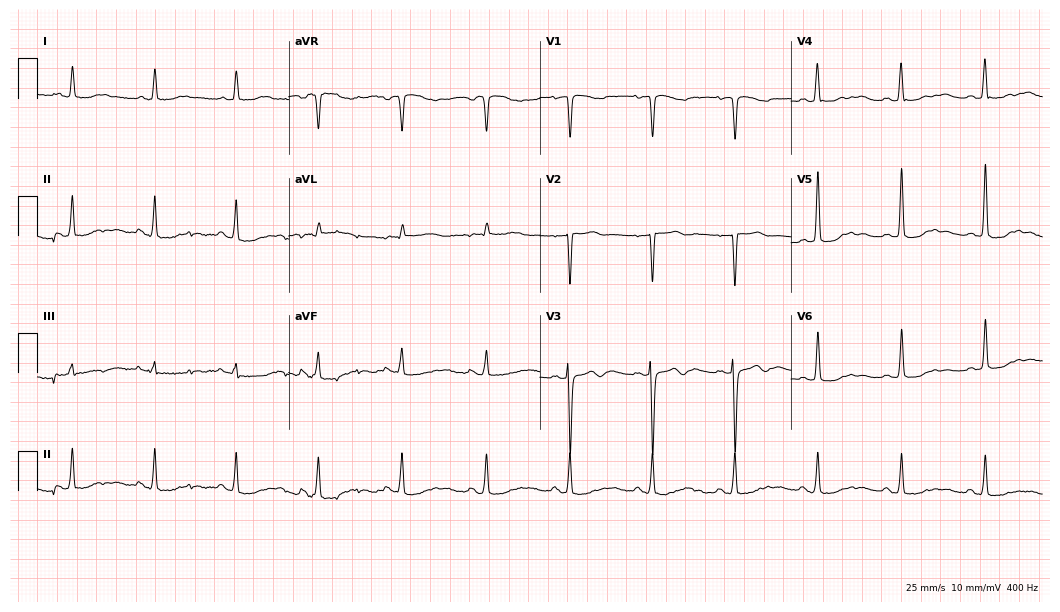
ECG — a woman, 43 years old. Screened for six findings — first-degree AV block, right bundle branch block, left bundle branch block, sinus bradycardia, atrial fibrillation, sinus tachycardia — none is recorded. Only these six findings were labelled.